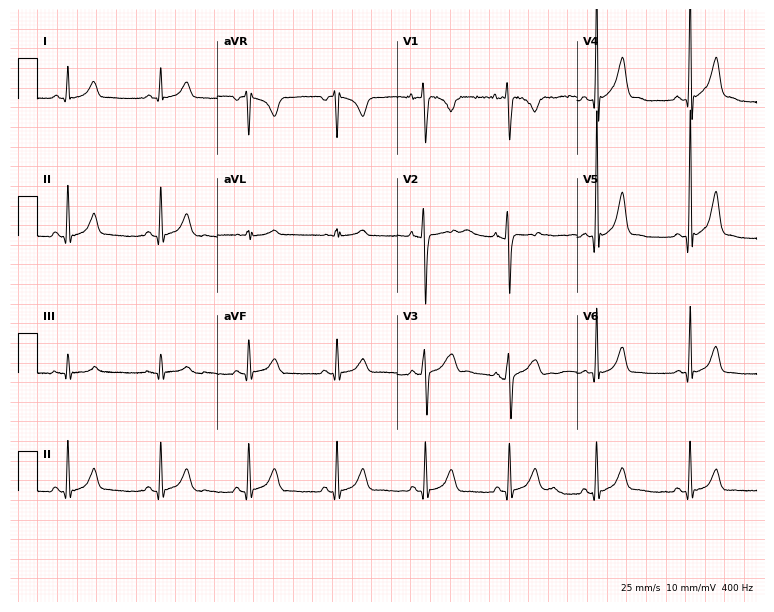
Resting 12-lead electrocardiogram (7.3-second recording at 400 Hz). Patient: a 19-year-old male. None of these six findings is recorded: first-degree AV block, right bundle branch block, left bundle branch block, sinus bradycardia, atrial fibrillation, sinus tachycardia.